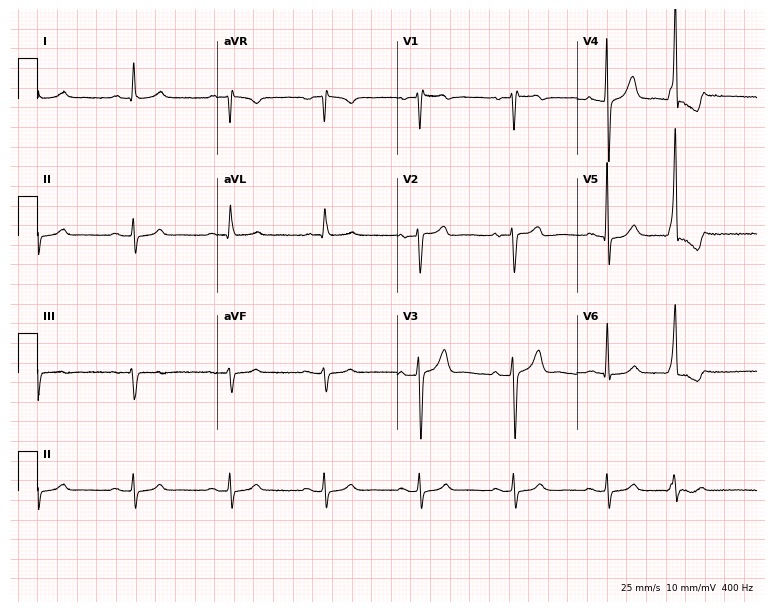
Electrocardiogram (7.3-second recording at 400 Hz), a 77-year-old man. Overall reading on record: normal ECG.